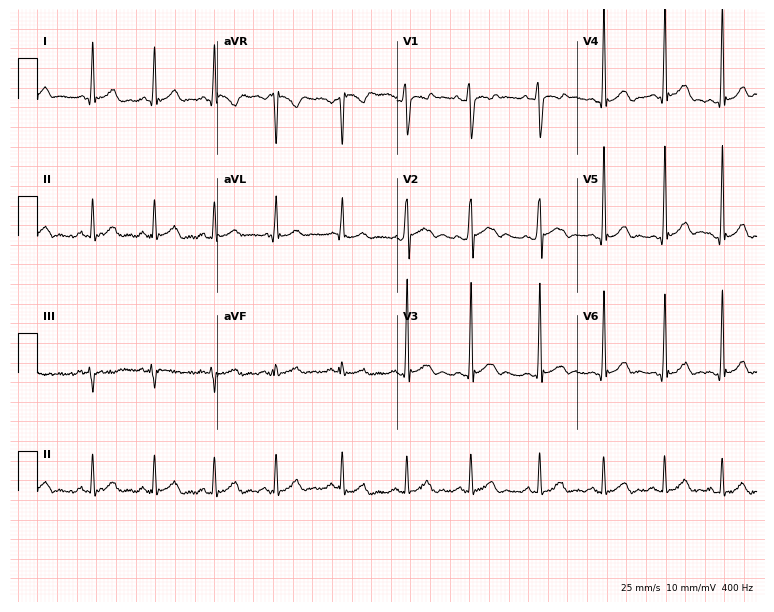
Resting 12-lead electrocardiogram. Patient: a 20-year-old male. None of these six findings is recorded: first-degree AV block, right bundle branch block, left bundle branch block, sinus bradycardia, atrial fibrillation, sinus tachycardia. Findings outside these six are not listed.